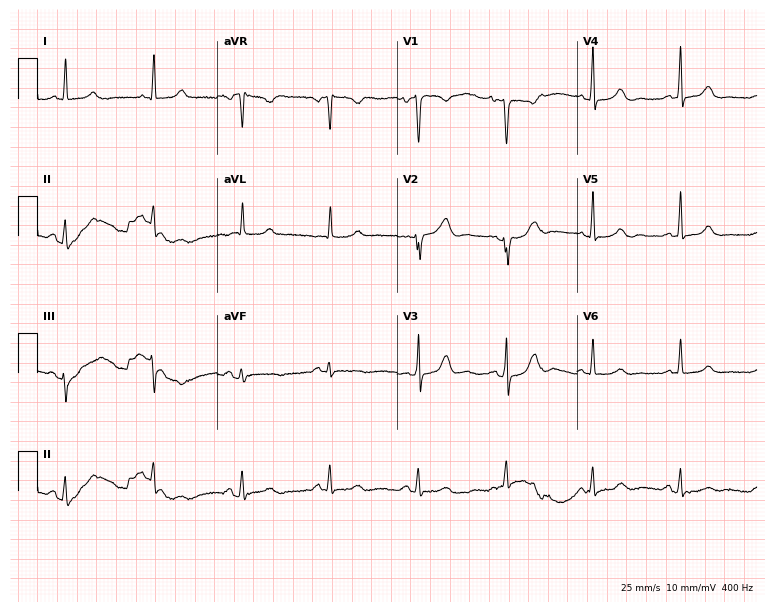
Standard 12-lead ECG recorded from a 54-year-old woman (7.3-second recording at 400 Hz). None of these six findings is recorded: first-degree AV block, right bundle branch block, left bundle branch block, sinus bradycardia, atrial fibrillation, sinus tachycardia.